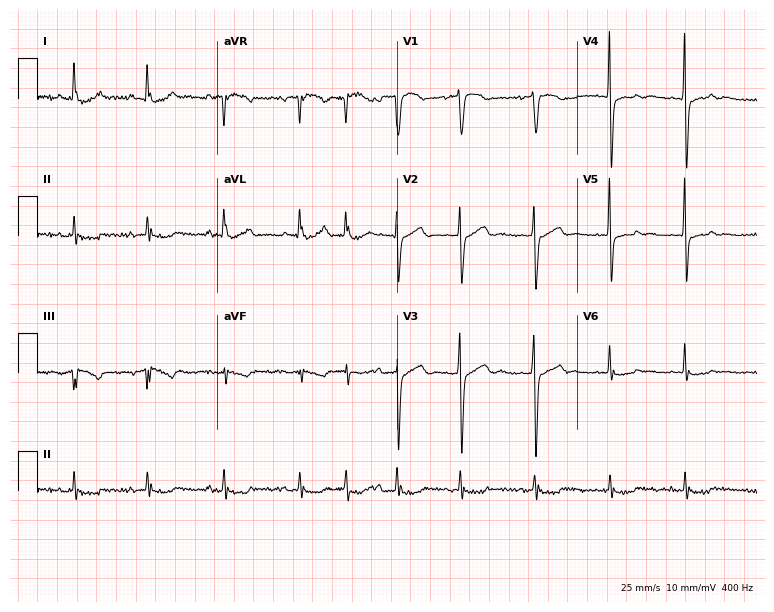
12-lead ECG from a female patient, 84 years old. Shows atrial fibrillation.